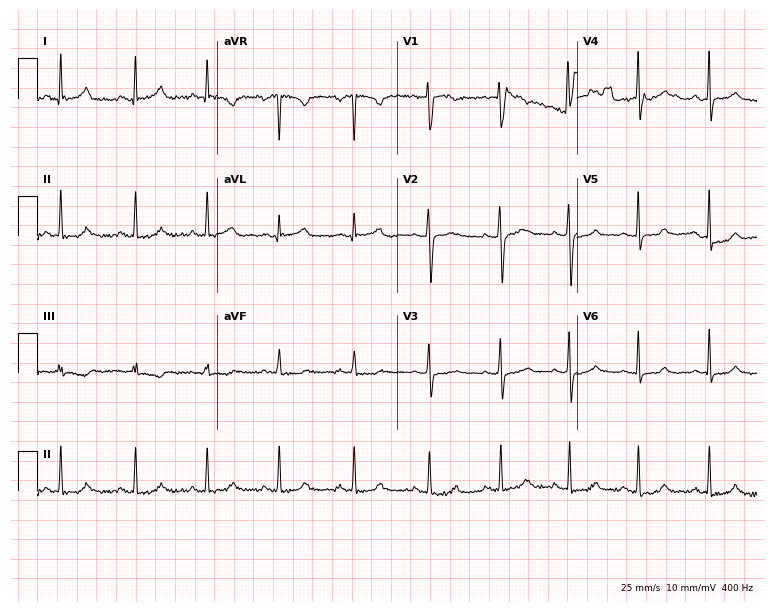
Electrocardiogram (7.3-second recording at 400 Hz), a woman, 31 years old. Overall reading on record: normal ECG.